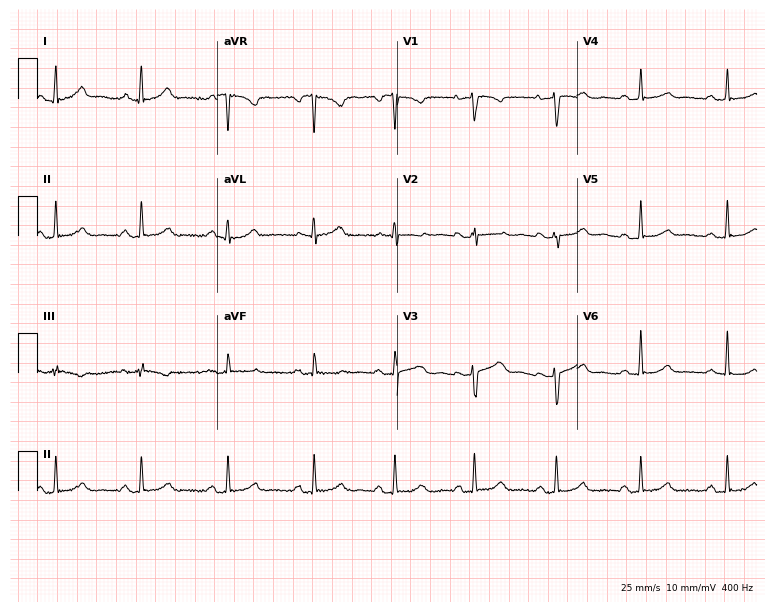
Electrocardiogram (7.3-second recording at 400 Hz), a 39-year-old female patient. Overall reading on record: normal ECG.